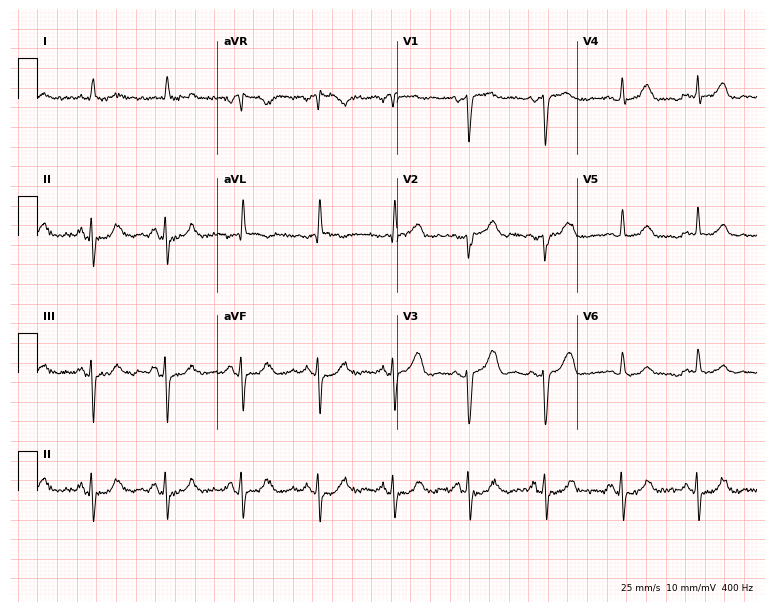
12-lead ECG (7.3-second recording at 400 Hz) from a 77-year-old male. Screened for six findings — first-degree AV block, right bundle branch block, left bundle branch block, sinus bradycardia, atrial fibrillation, sinus tachycardia — none is recorded.